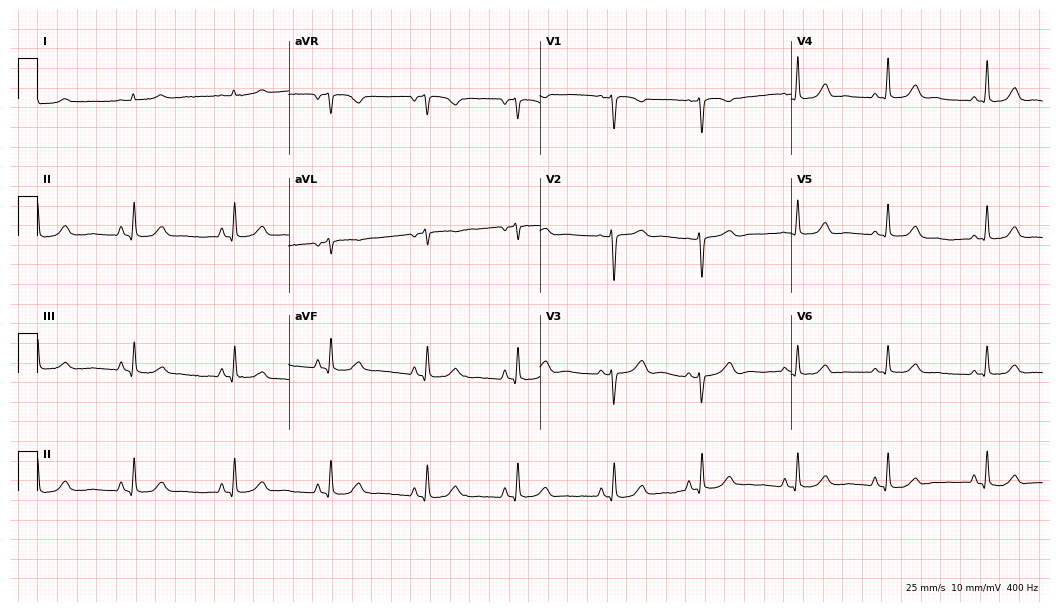
ECG (10.2-second recording at 400 Hz) — a 50-year-old female patient. Labelled as a normal ECG.